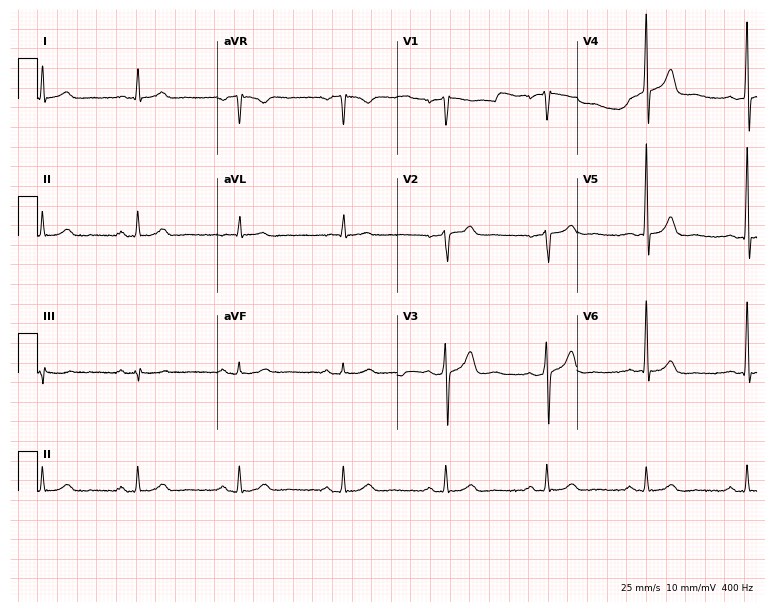
Resting 12-lead electrocardiogram (7.3-second recording at 400 Hz). Patient: a 59-year-old female. Read as a normal ECG.